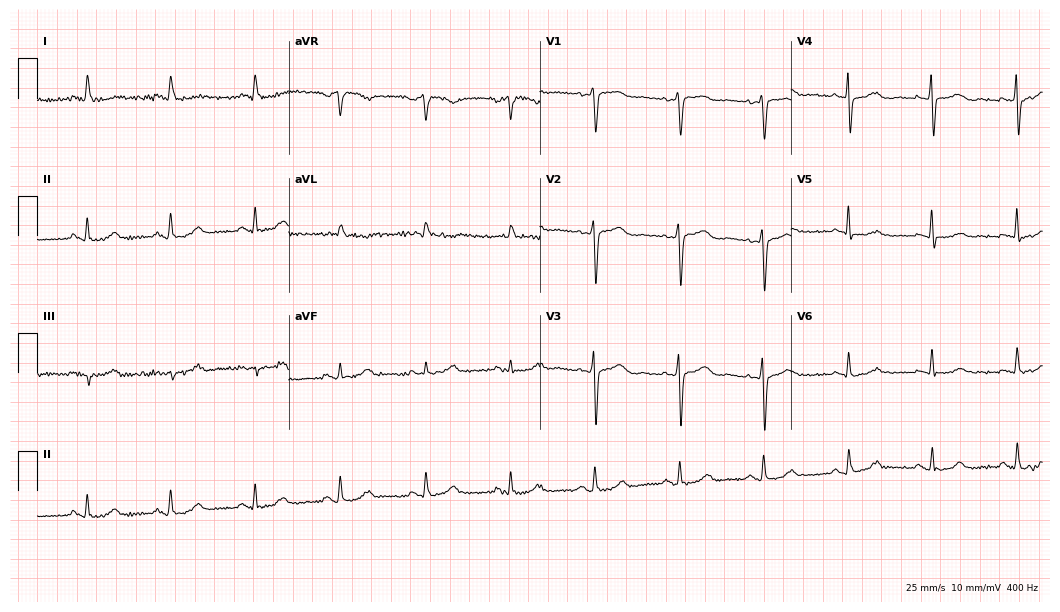
Standard 12-lead ECG recorded from a woman, 64 years old (10.2-second recording at 400 Hz). Read as a normal ECG.